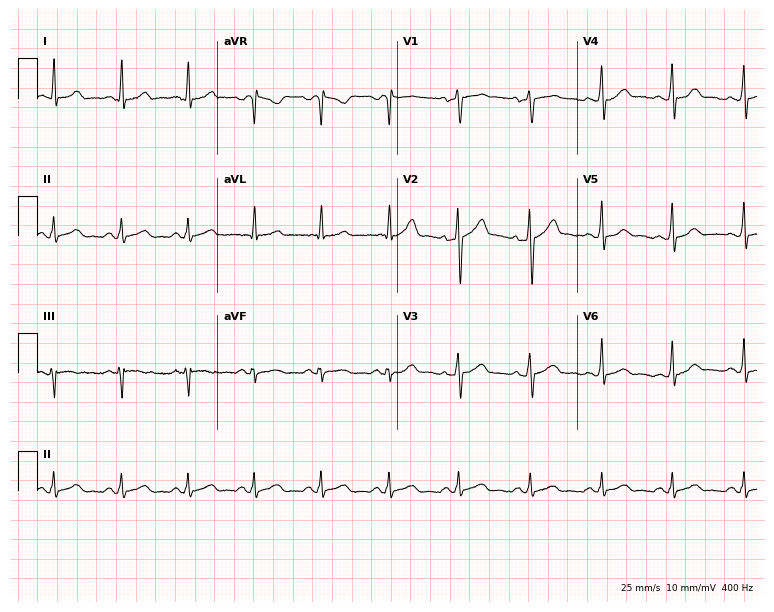
Standard 12-lead ECG recorded from a male patient, 46 years old. Read as a normal ECG.